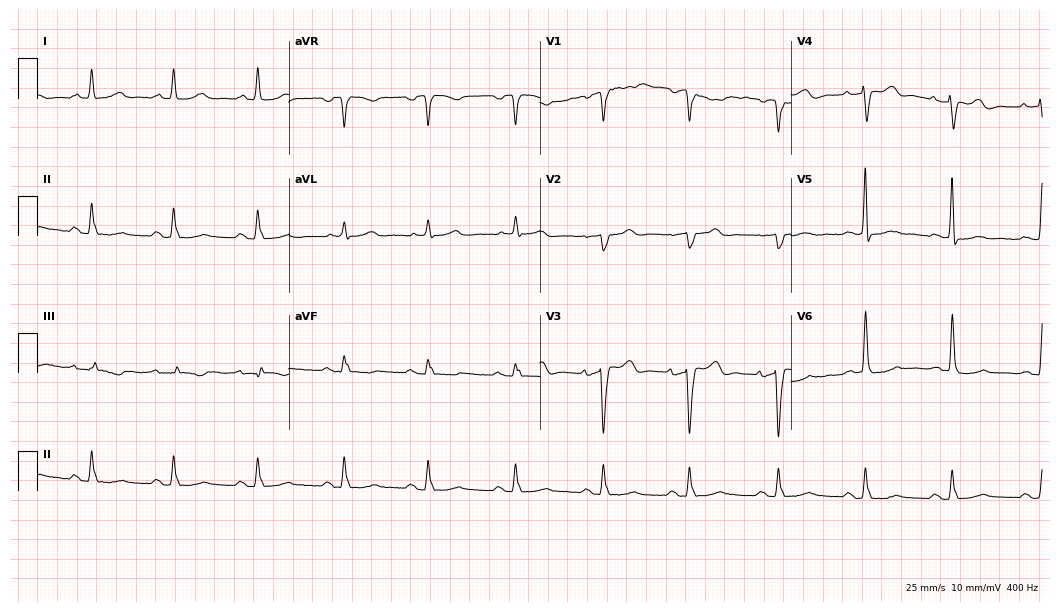
ECG — a female, 83 years old. Screened for six findings — first-degree AV block, right bundle branch block, left bundle branch block, sinus bradycardia, atrial fibrillation, sinus tachycardia — none is recorded.